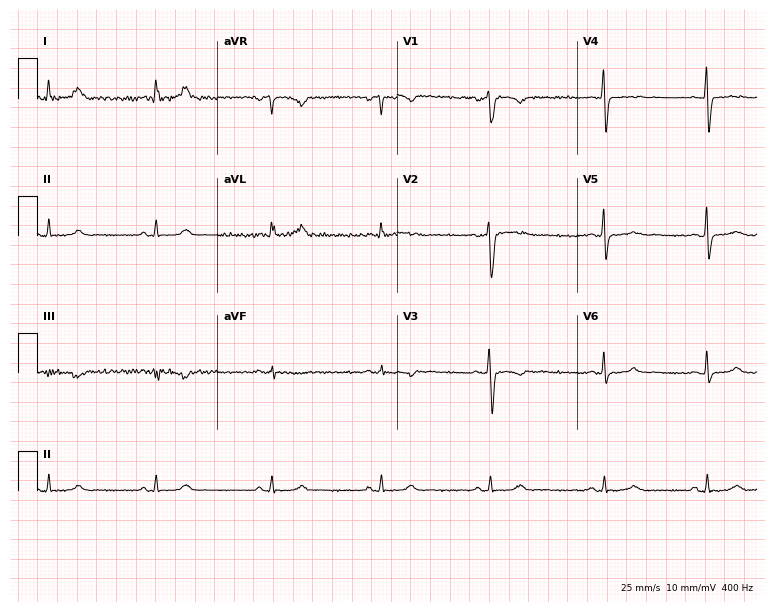
Resting 12-lead electrocardiogram. Patient: a 42-year-old female. None of these six findings is recorded: first-degree AV block, right bundle branch block, left bundle branch block, sinus bradycardia, atrial fibrillation, sinus tachycardia.